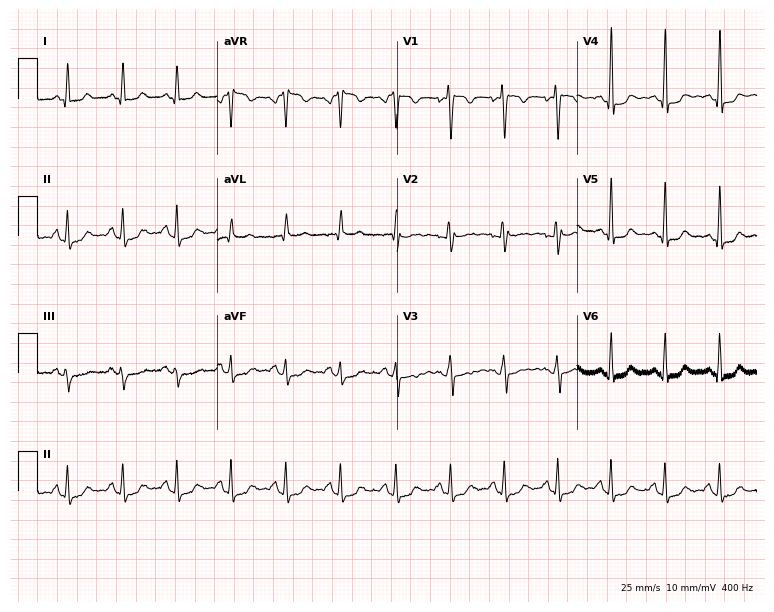
ECG (7.3-second recording at 400 Hz) — a 29-year-old female. Findings include sinus tachycardia (a sinus rate of 100 beats per minute or more).